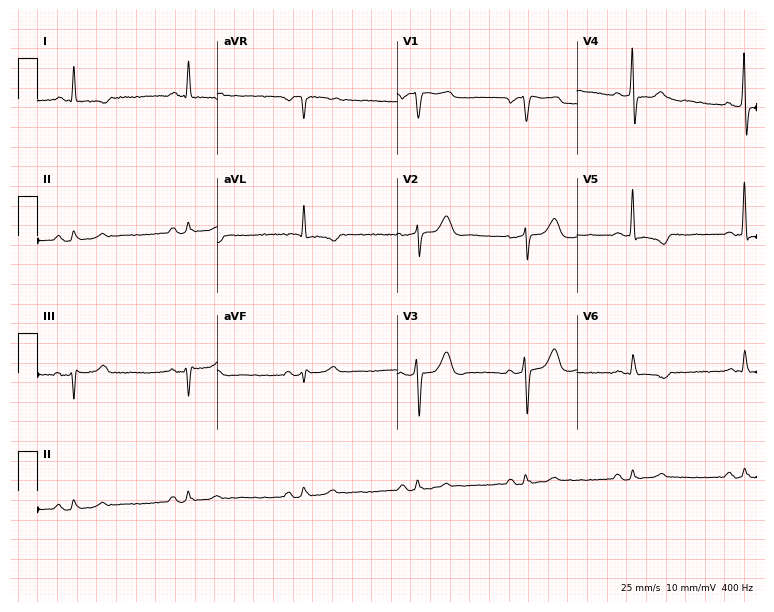
ECG (7.3-second recording at 400 Hz) — a man, 66 years old. Screened for six findings — first-degree AV block, right bundle branch block, left bundle branch block, sinus bradycardia, atrial fibrillation, sinus tachycardia — none is recorded. Findings outside these six are not listed.